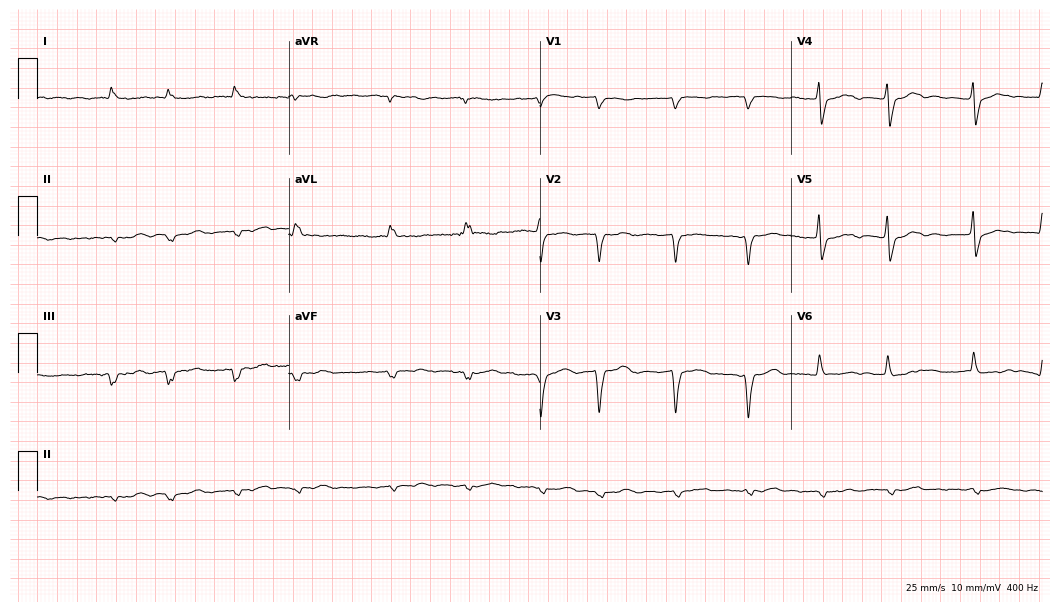
Electrocardiogram (10.2-second recording at 400 Hz), a 76-year-old female. Interpretation includes atrial fibrillation.